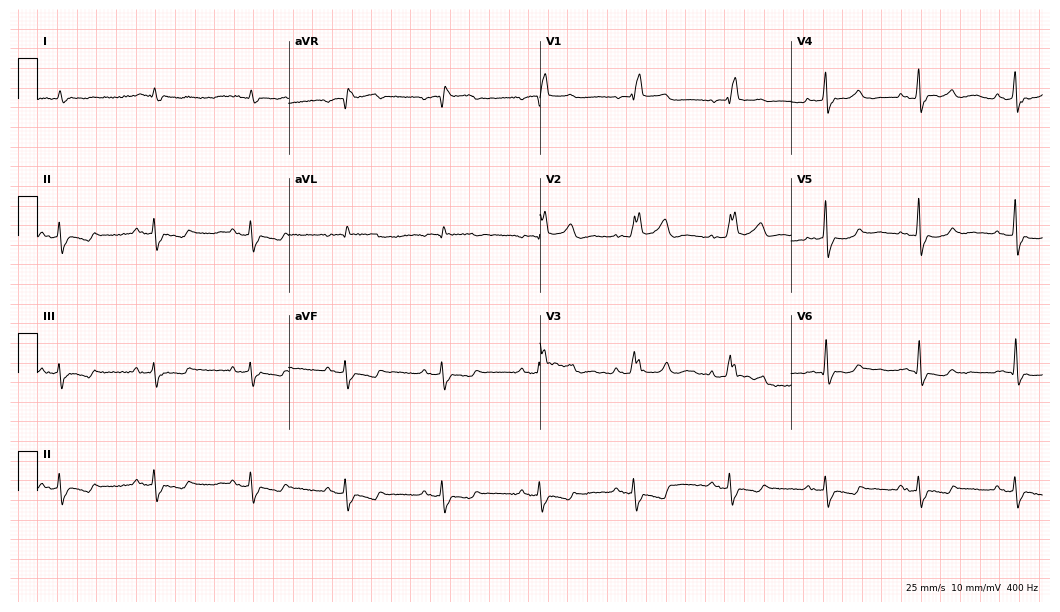
Standard 12-lead ECG recorded from a 78-year-old male patient. The tracing shows right bundle branch block.